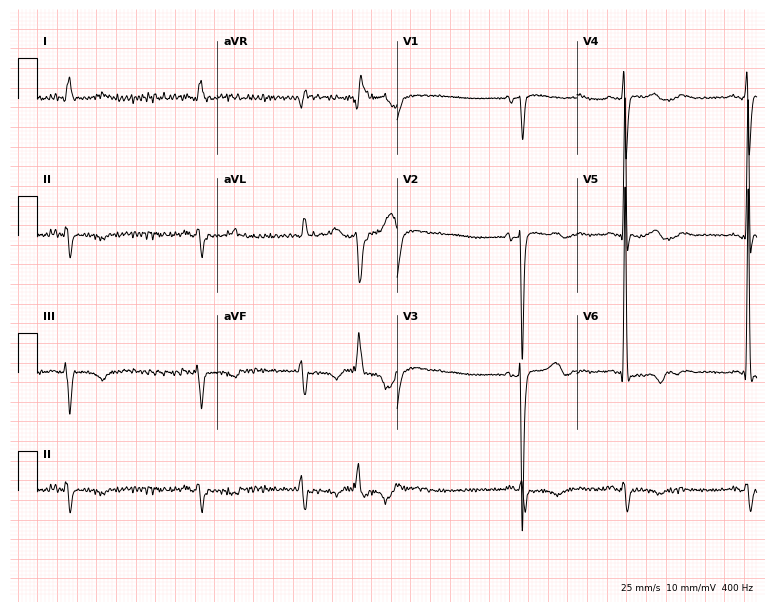
Electrocardiogram (7.3-second recording at 400 Hz), a male, 78 years old. Of the six screened findings (first-degree AV block, right bundle branch block (RBBB), left bundle branch block (LBBB), sinus bradycardia, atrial fibrillation (AF), sinus tachycardia), none is recorded. Findings outside these six are not listed.